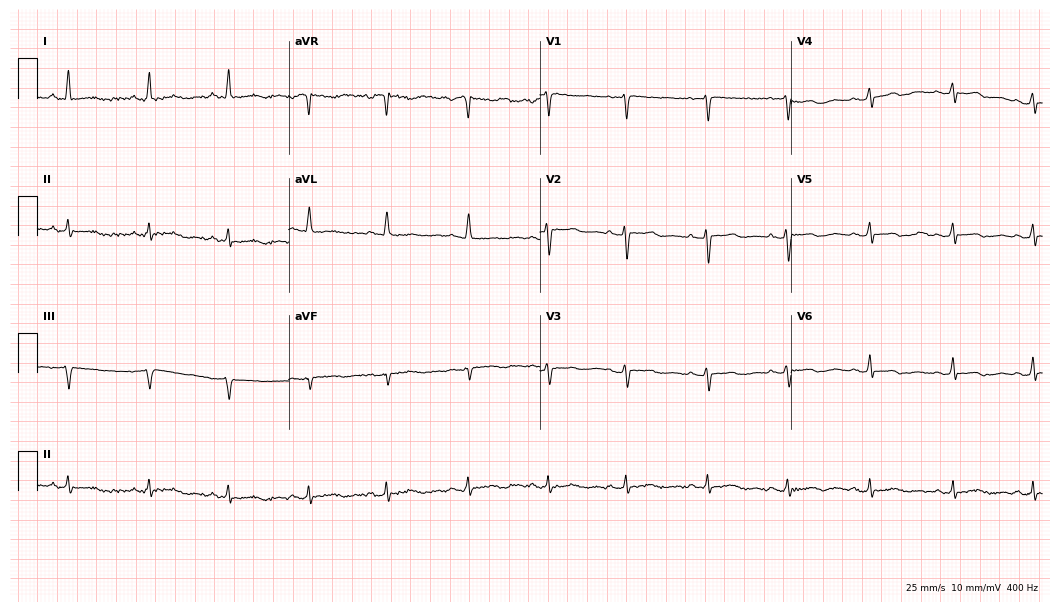
Standard 12-lead ECG recorded from a female, 42 years old (10.2-second recording at 400 Hz). None of these six findings is recorded: first-degree AV block, right bundle branch block, left bundle branch block, sinus bradycardia, atrial fibrillation, sinus tachycardia. Other findings, if any, are not listed.